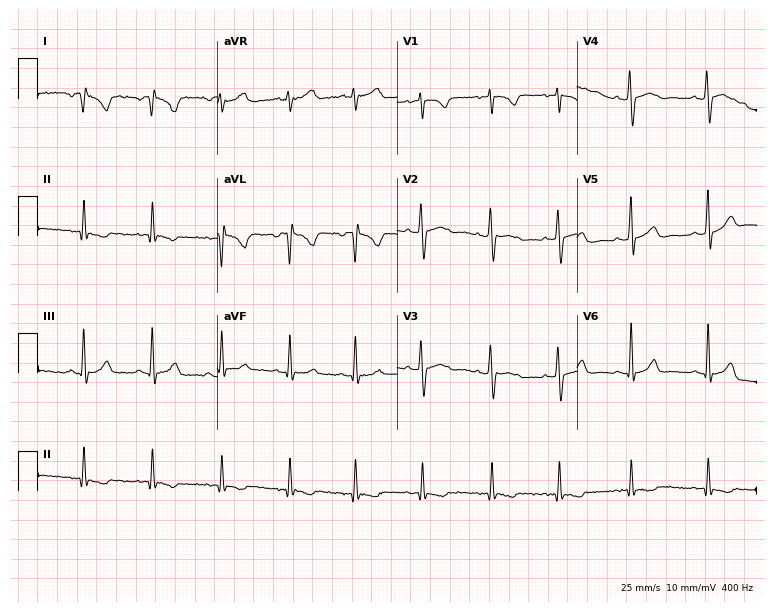
12-lead ECG (7.3-second recording at 400 Hz) from a female patient, 20 years old. Screened for six findings — first-degree AV block, right bundle branch block, left bundle branch block, sinus bradycardia, atrial fibrillation, sinus tachycardia — none is recorded.